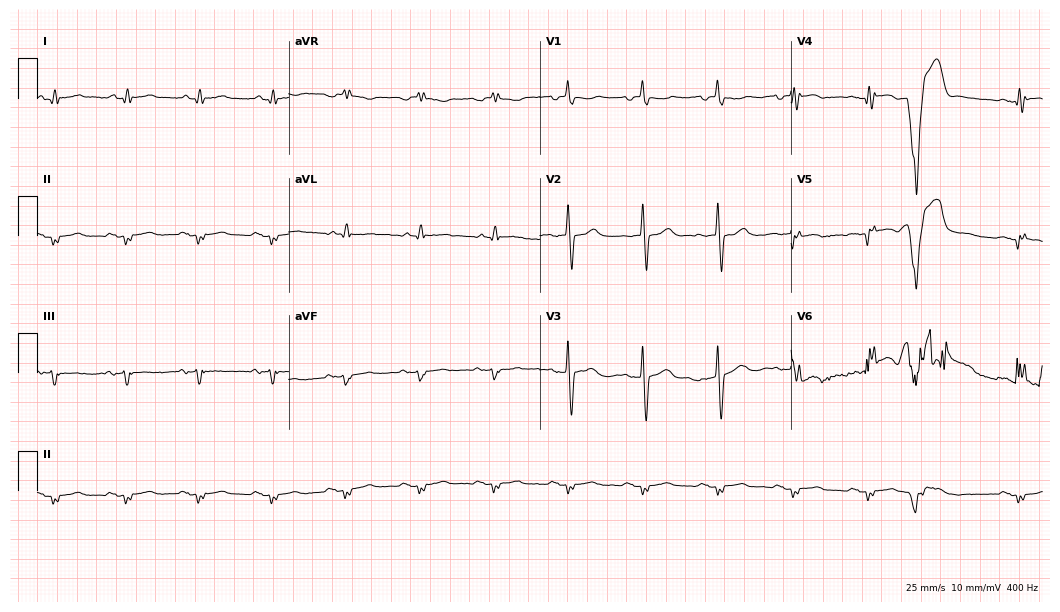
Electrocardiogram (10.2-second recording at 400 Hz), a male patient, 74 years old. Of the six screened findings (first-degree AV block, right bundle branch block (RBBB), left bundle branch block (LBBB), sinus bradycardia, atrial fibrillation (AF), sinus tachycardia), none is recorded. Other findings, if any, are not listed.